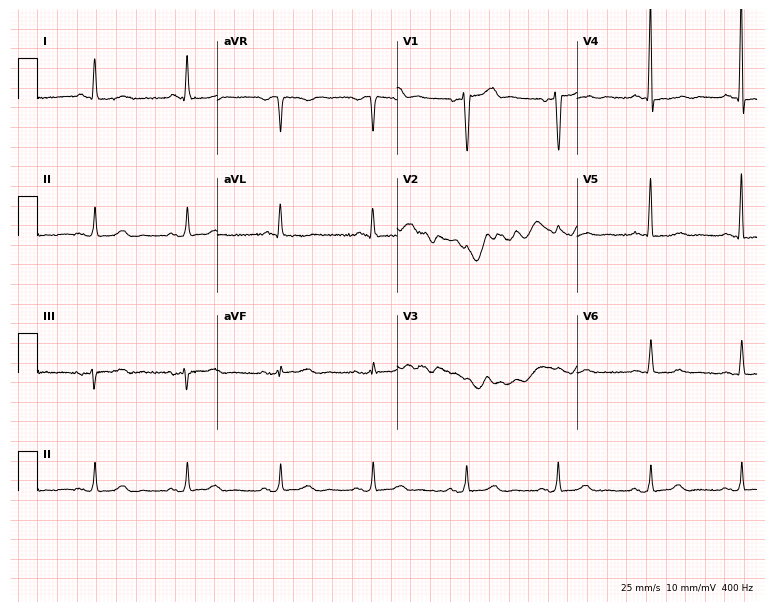
12-lead ECG from a 73-year-old male. No first-degree AV block, right bundle branch block, left bundle branch block, sinus bradycardia, atrial fibrillation or sinus tachycardia recorded for this tracing. Only these six findings were labelled.